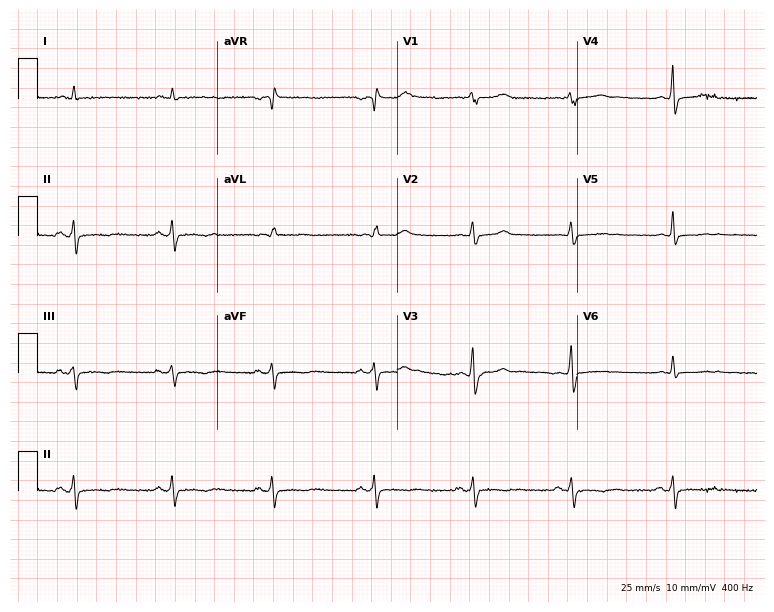
ECG — a male patient, 73 years old. Screened for six findings — first-degree AV block, right bundle branch block, left bundle branch block, sinus bradycardia, atrial fibrillation, sinus tachycardia — none is recorded.